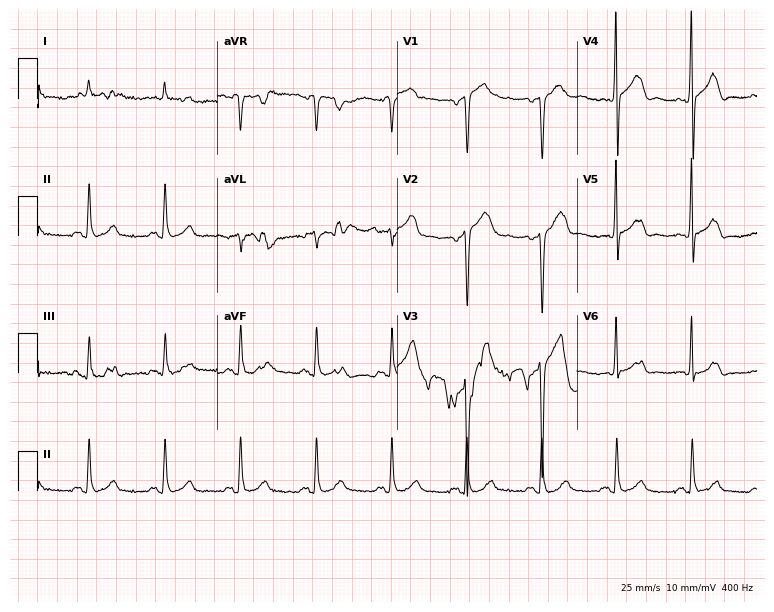
Electrocardiogram (7.3-second recording at 400 Hz), a man, 66 years old. Of the six screened findings (first-degree AV block, right bundle branch block (RBBB), left bundle branch block (LBBB), sinus bradycardia, atrial fibrillation (AF), sinus tachycardia), none is recorded.